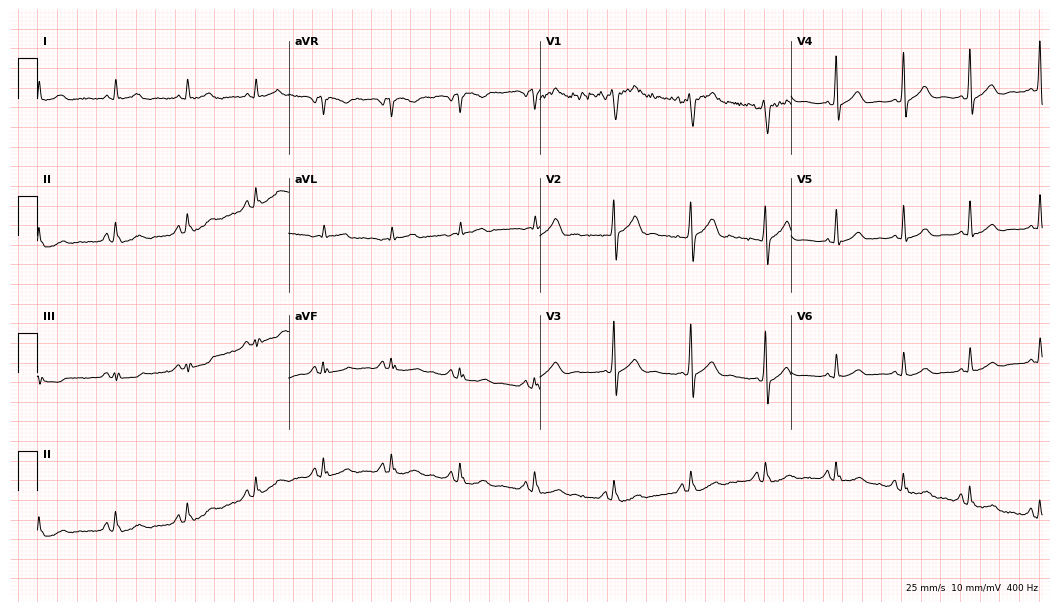
12-lead ECG from a man, 40 years old (10.2-second recording at 400 Hz). No first-degree AV block, right bundle branch block, left bundle branch block, sinus bradycardia, atrial fibrillation or sinus tachycardia recorded for this tracing.